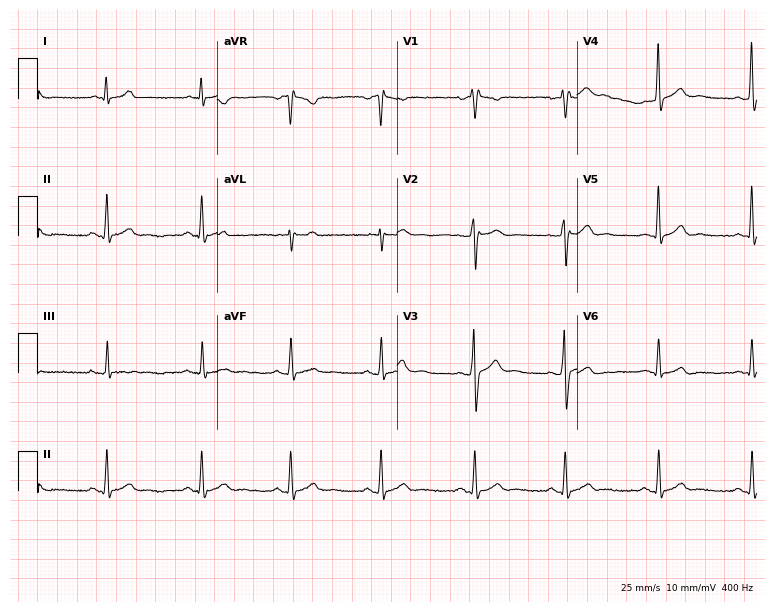
Resting 12-lead electrocardiogram. Patient: a male, 22 years old. None of these six findings is recorded: first-degree AV block, right bundle branch block, left bundle branch block, sinus bradycardia, atrial fibrillation, sinus tachycardia. Only these six findings were labelled.